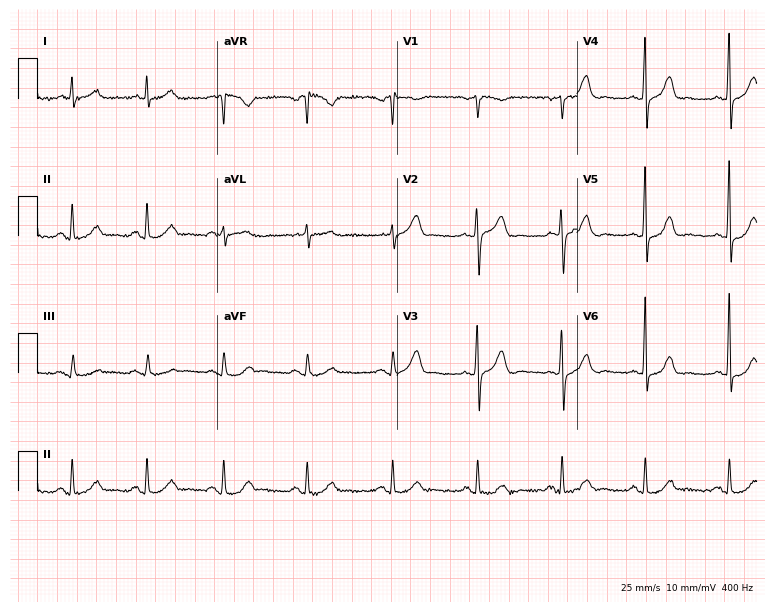
12-lead ECG from a man, 58 years old. Screened for six findings — first-degree AV block, right bundle branch block, left bundle branch block, sinus bradycardia, atrial fibrillation, sinus tachycardia — none is recorded. Only these six findings were labelled.